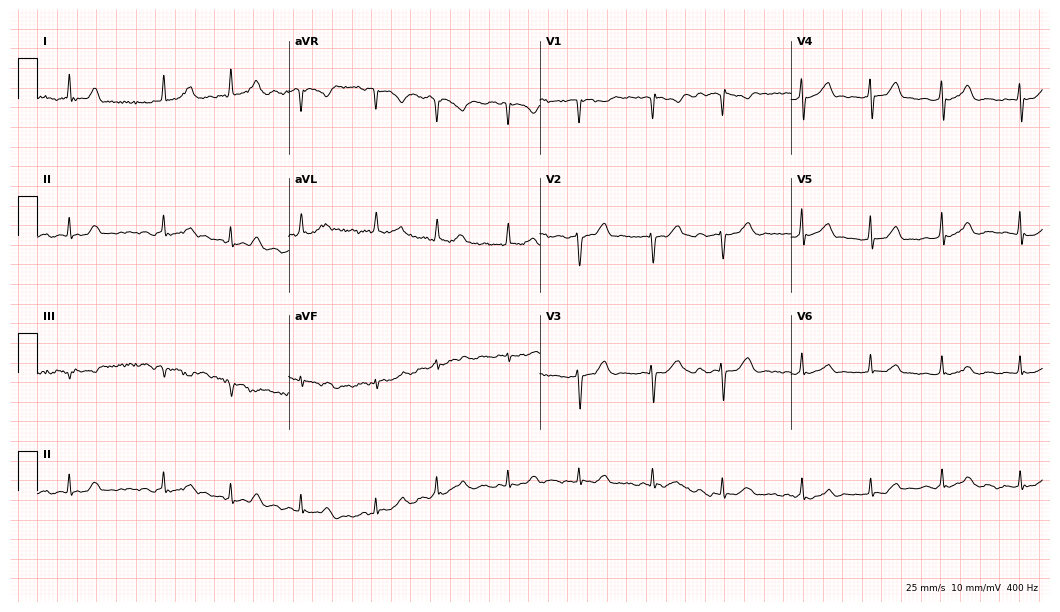
Electrocardiogram (10.2-second recording at 400 Hz), a woman, 71 years old. Interpretation includes atrial fibrillation.